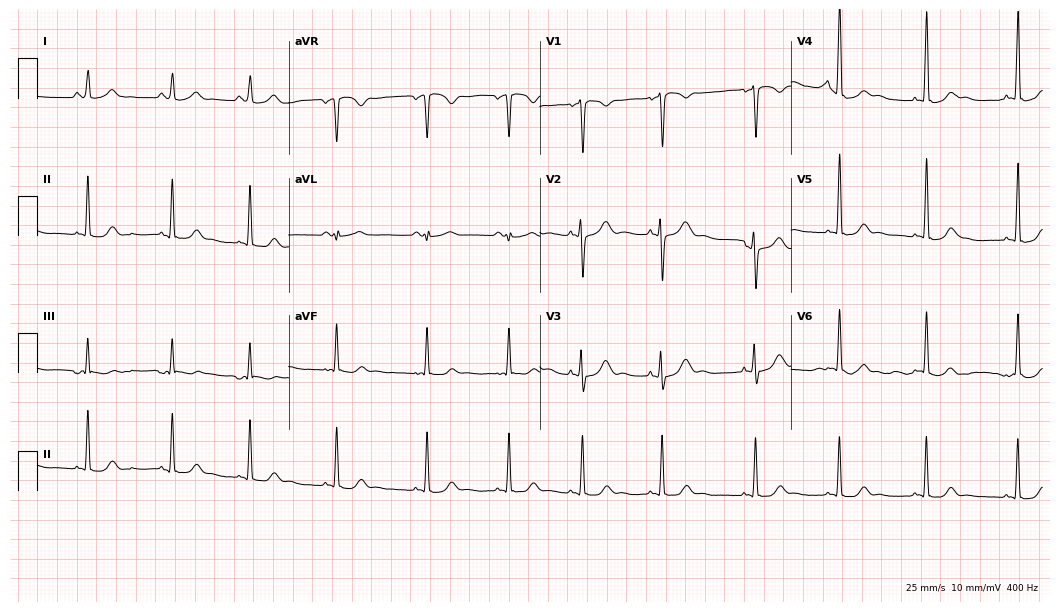
ECG — a woman, 18 years old. Labelled as a normal ECG.